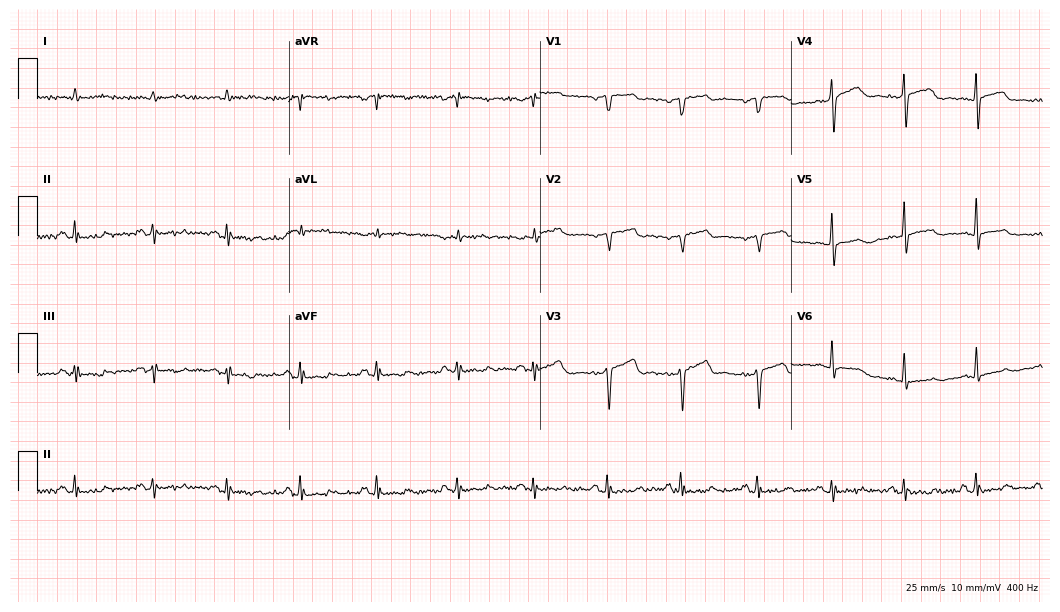
12-lead ECG from a male, 66 years old (10.2-second recording at 400 Hz). No first-degree AV block, right bundle branch block (RBBB), left bundle branch block (LBBB), sinus bradycardia, atrial fibrillation (AF) or sinus tachycardia recorded for this tracing. Only these six findings were labelled.